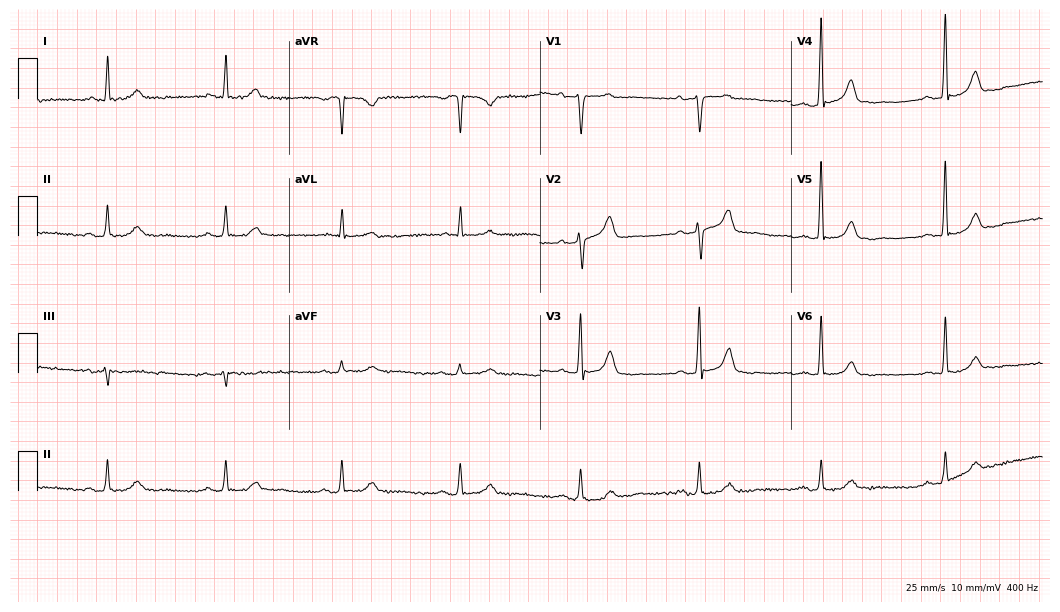
Standard 12-lead ECG recorded from a 67-year-old male. Read as a normal ECG.